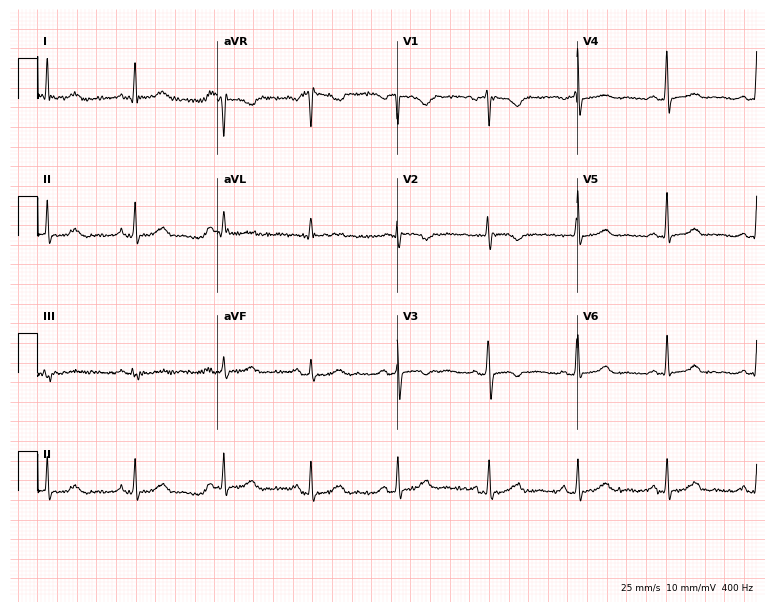
Electrocardiogram, a female patient, 51 years old. Of the six screened findings (first-degree AV block, right bundle branch block, left bundle branch block, sinus bradycardia, atrial fibrillation, sinus tachycardia), none is recorded.